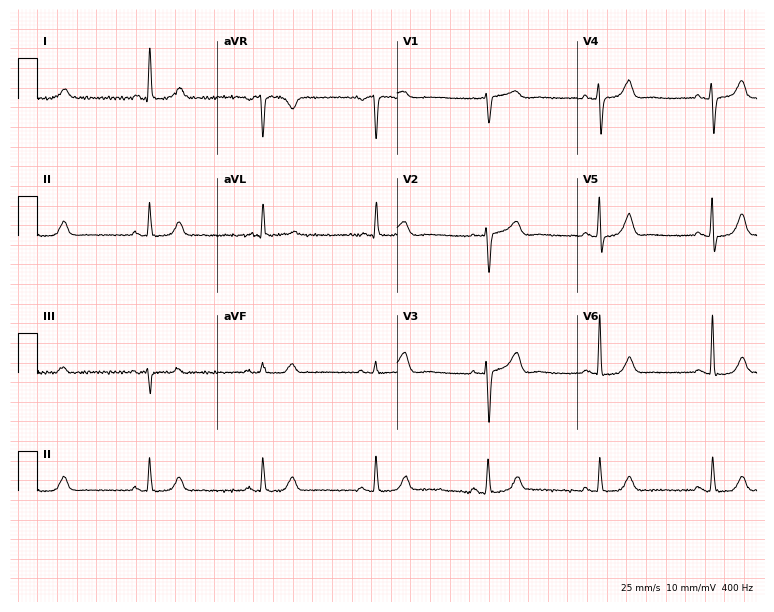
12-lead ECG from a female patient, 78 years old. Labelled as a normal ECG.